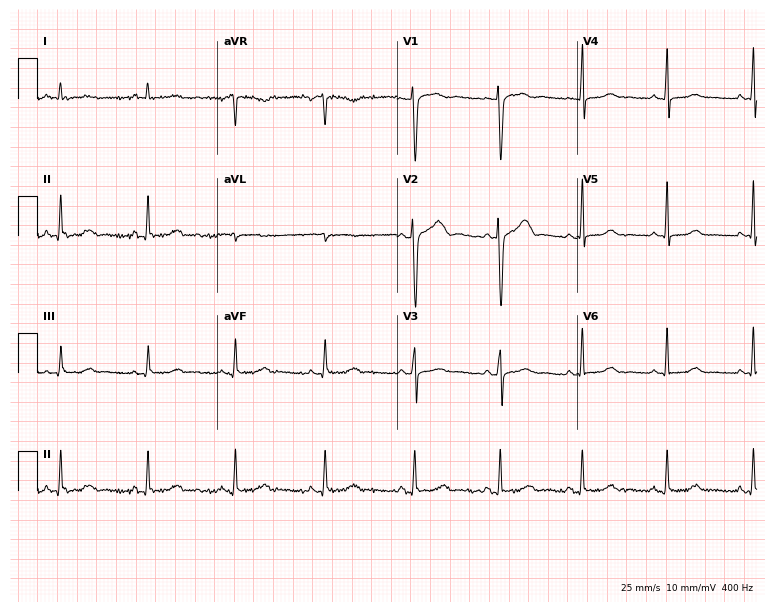
Resting 12-lead electrocardiogram. Patient: a 24-year-old woman. Read as a normal ECG.